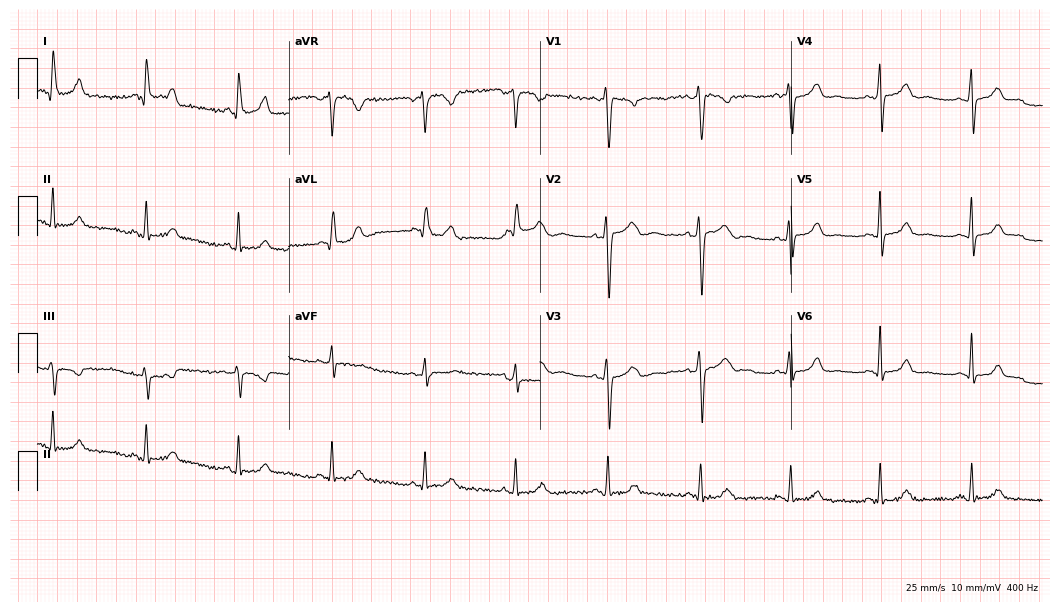
Electrocardiogram (10.2-second recording at 400 Hz), a female patient, 46 years old. Overall reading on record: normal ECG.